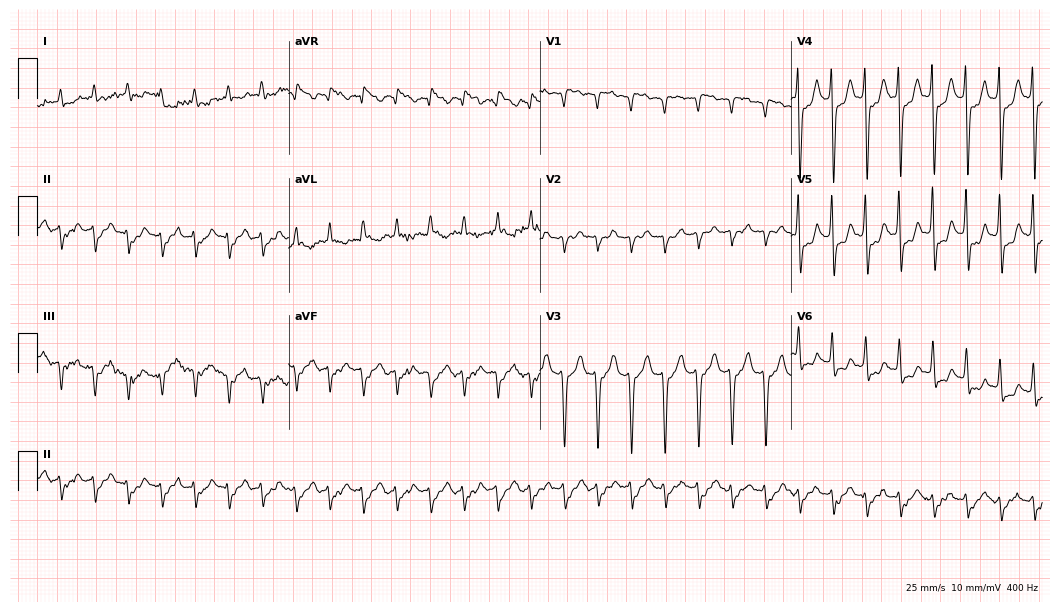
12-lead ECG from a woman, 79 years old. Screened for six findings — first-degree AV block, right bundle branch block (RBBB), left bundle branch block (LBBB), sinus bradycardia, atrial fibrillation (AF), sinus tachycardia — none is recorded.